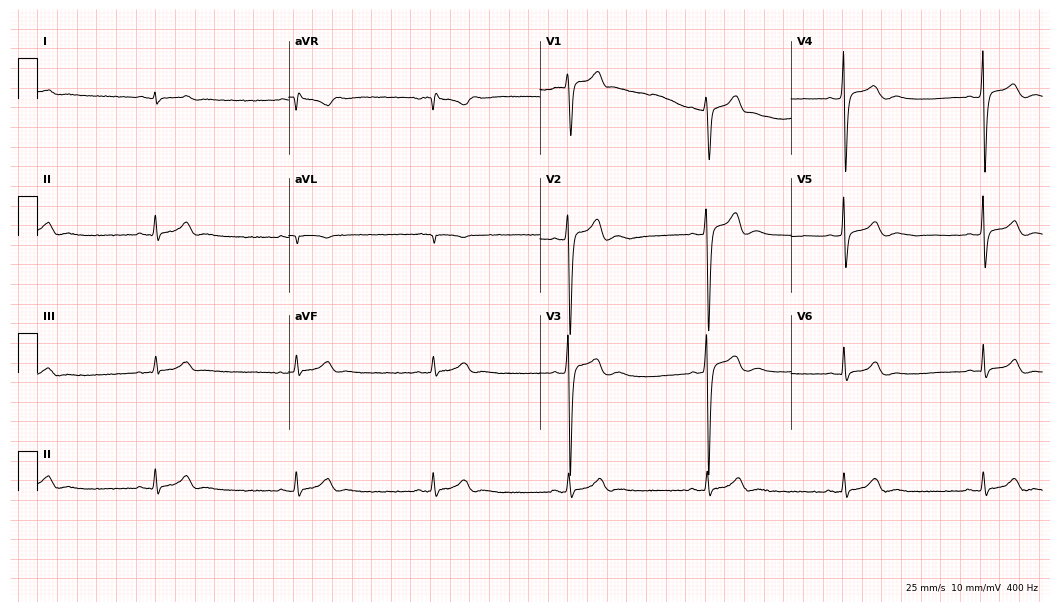
12-lead ECG from a man, 29 years old. Findings include sinus bradycardia (a sinus rate of 50 beats per minute or less).